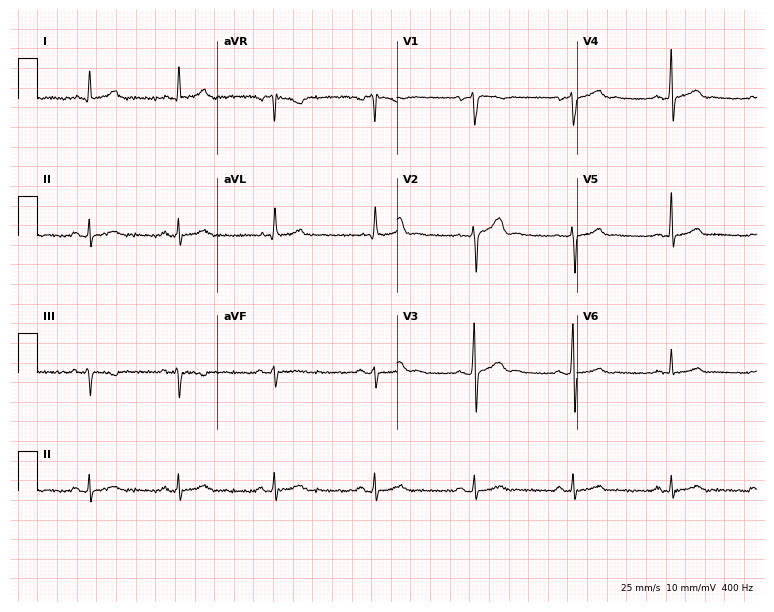
Electrocardiogram, a 31-year-old male patient. Overall reading on record: normal ECG.